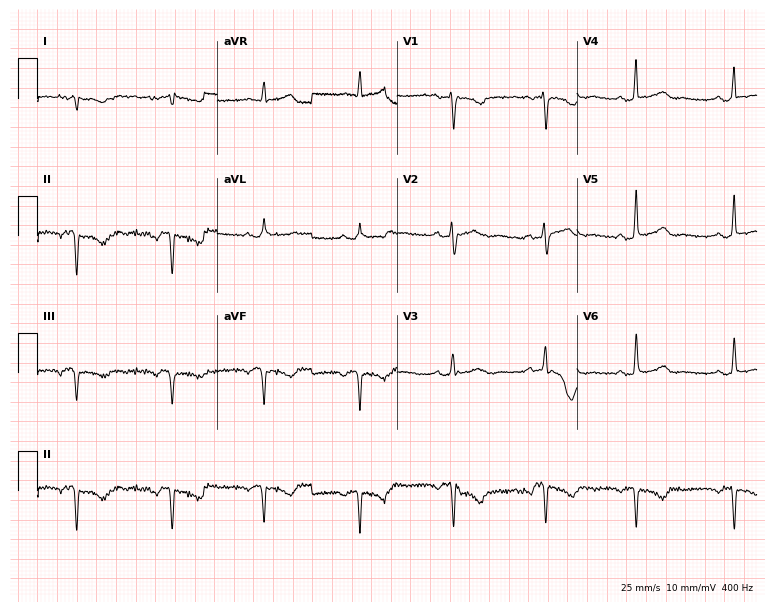
12-lead ECG (7.3-second recording at 400 Hz) from a 47-year-old female. Screened for six findings — first-degree AV block, right bundle branch block, left bundle branch block, sinus bradycardia, atrial fibrillation, sinus tachycardia — none is recorded. Only these six findings were labelled.